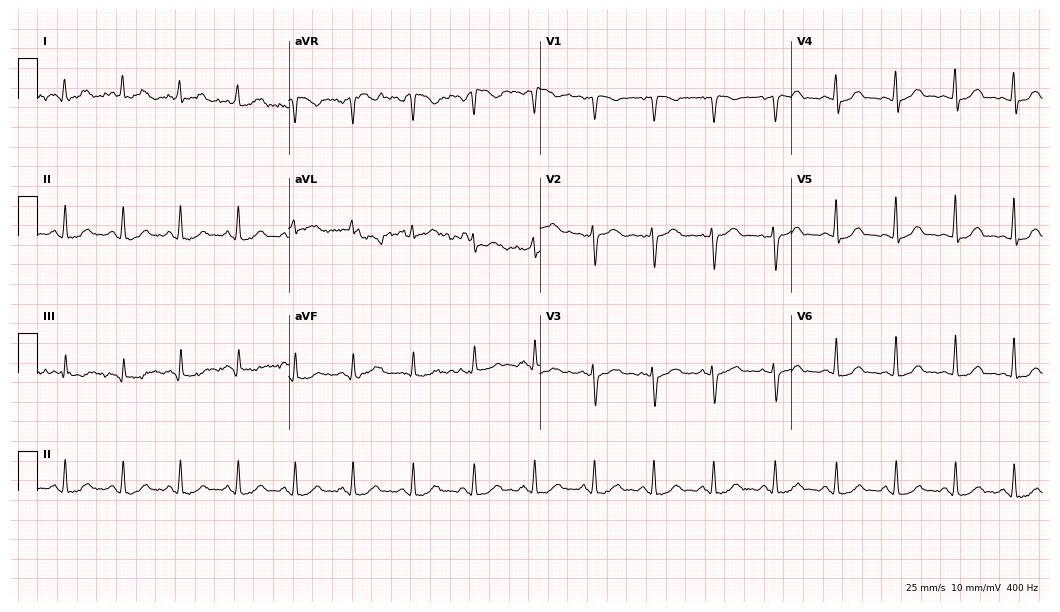
ECG — a 49-year-old woman. Labelled as a normal ECG.